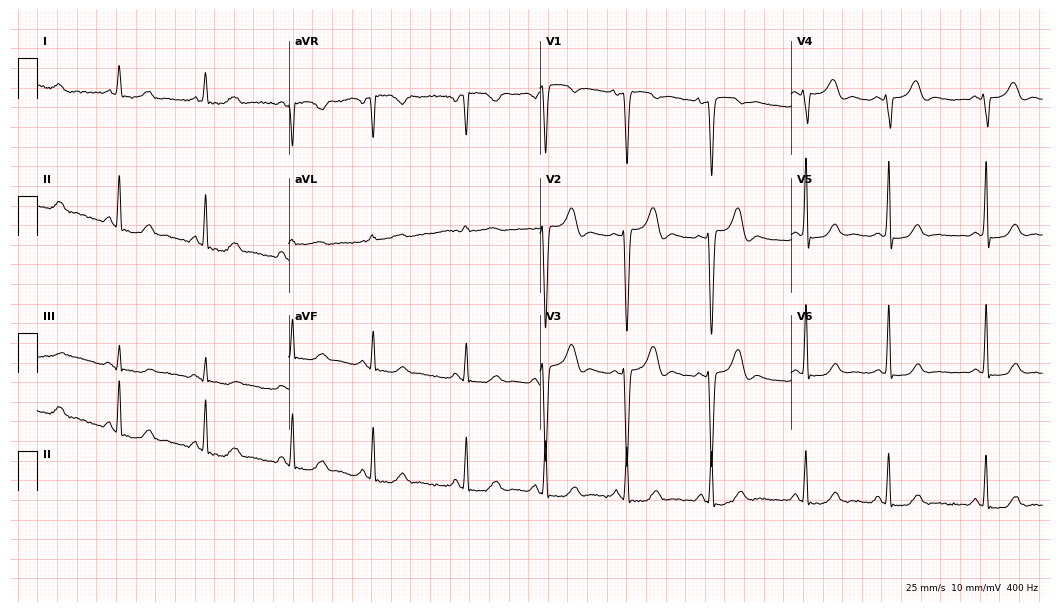
Electrocardiogram (10.2-second recording at 400 Hz), a female, 48 years old. Overall reading on record: normal ECG.